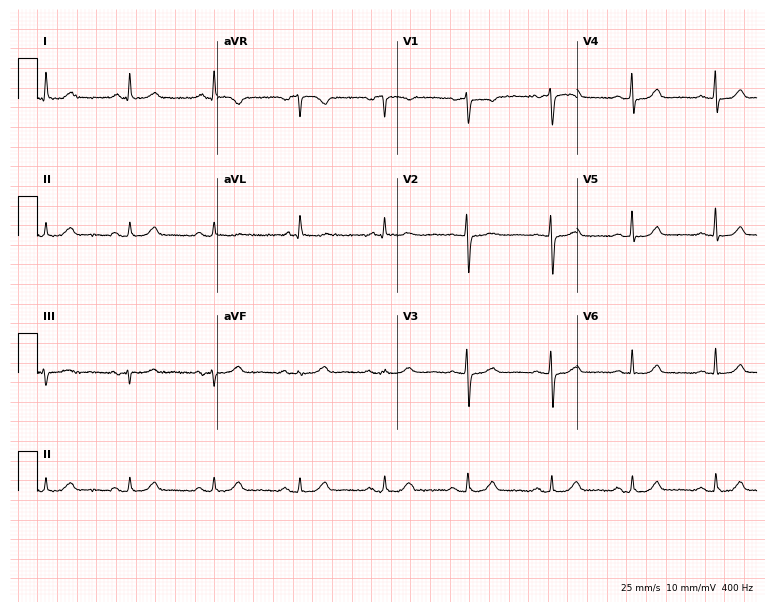
Resting 12-lead electrocardiogram. Patient: a 70-year-old woman. None of these six findings is recorded: first-degree AV block, right bundle branch block, left bundle branch block, sinus bradycardia, atrial fibrillation, sinus tachycardia. Only these six findings were labelled.